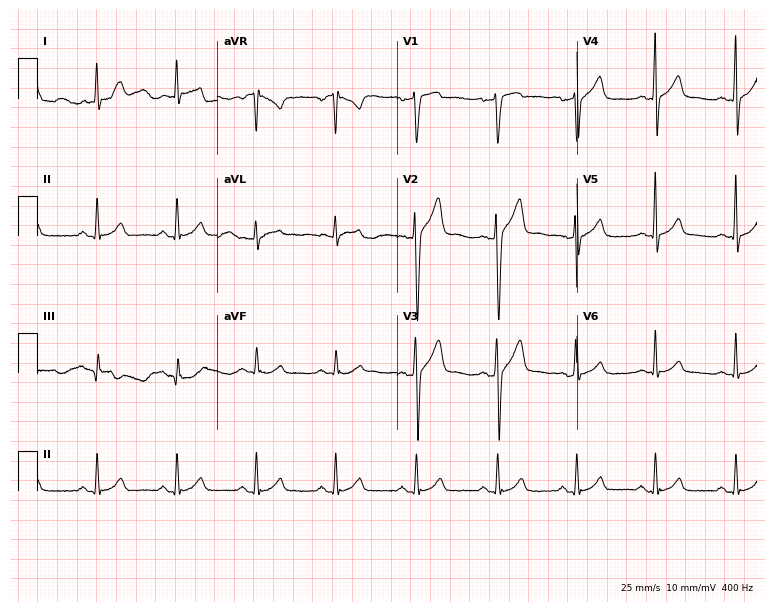
12-lead ECG (7.3-second recording at 400 Hz) from a 37-year-old male patient. Screened for six findings — first-degree AV block, right bundle branch block, left bundle branch block, sinus bradycardia, atrial fibrillation, sinus tachycardia — none is recorded. Findings outside these six are not listed.